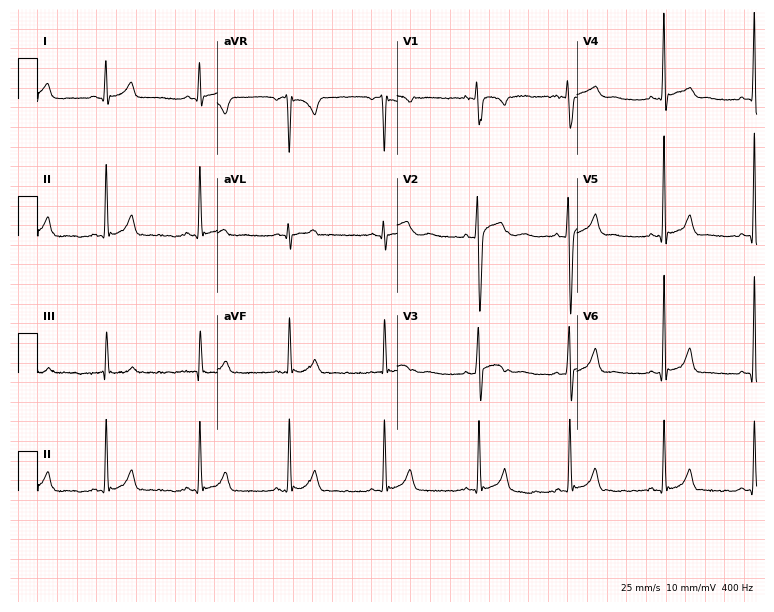
Standard 12-lead ECG recorded from a male, 20 years old (7.3-second recording at 400 Hz). None of these six findings is recorded: first-degree AV block, right bundle branch block, left bundle branch block, sinus bradycardia, atrial fibrillation, sinus tachycardia. Findings outside these six are not listed.